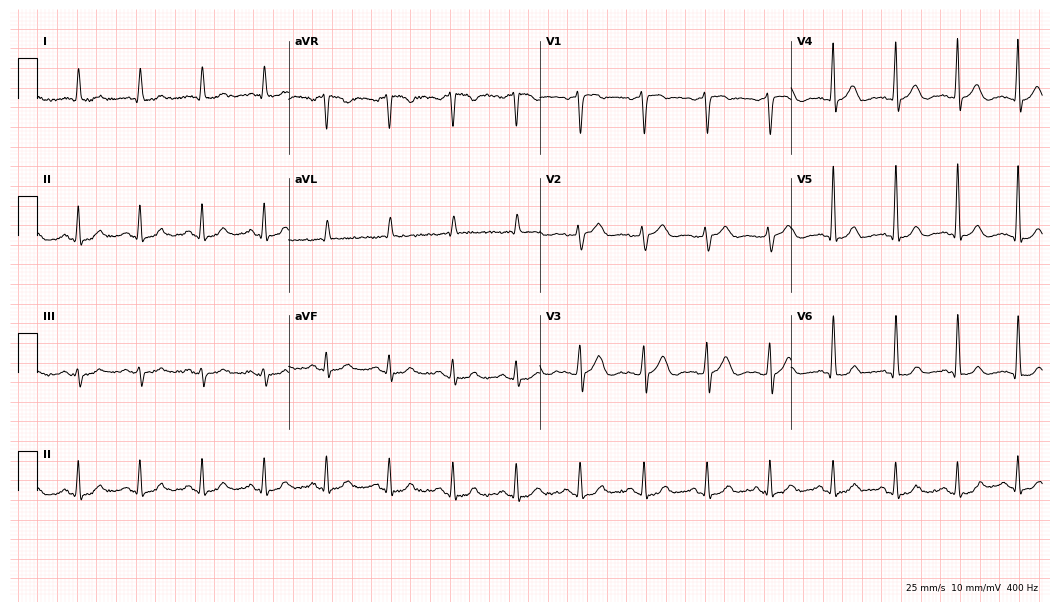
Resting 12-lead electrocardiogram (10.2-second recording at 400 Hz). Patient: a male, 80 years old. Read as a normal ECG.